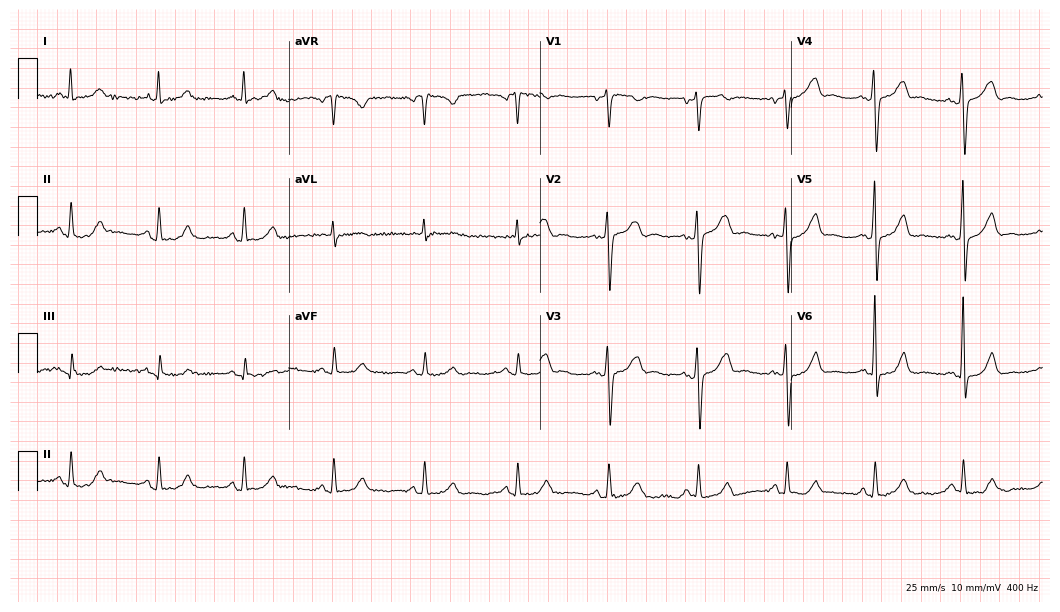
Standard 12-lead ECG recorded from a 50-year-old man (10.2-second recording at 400 Hz). None of these six findings is recorded: first-degree AV block, right bundle branch block, left bundle branch block, sinus bradycardia, atrial fibrillation, sinus tachycardia.